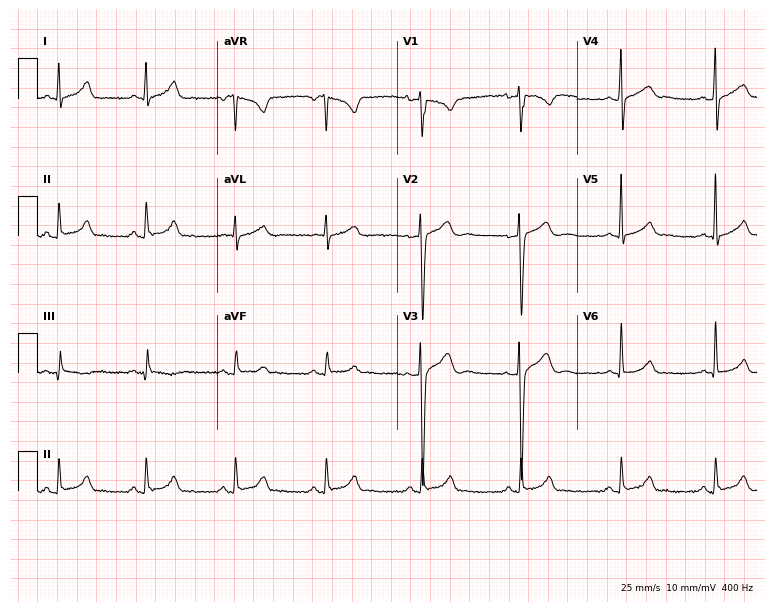
Standard 12-lead ECG recorded from a 34-year-old male patient (7.3-second recording at 400 Hz). Read as a normal ECG.